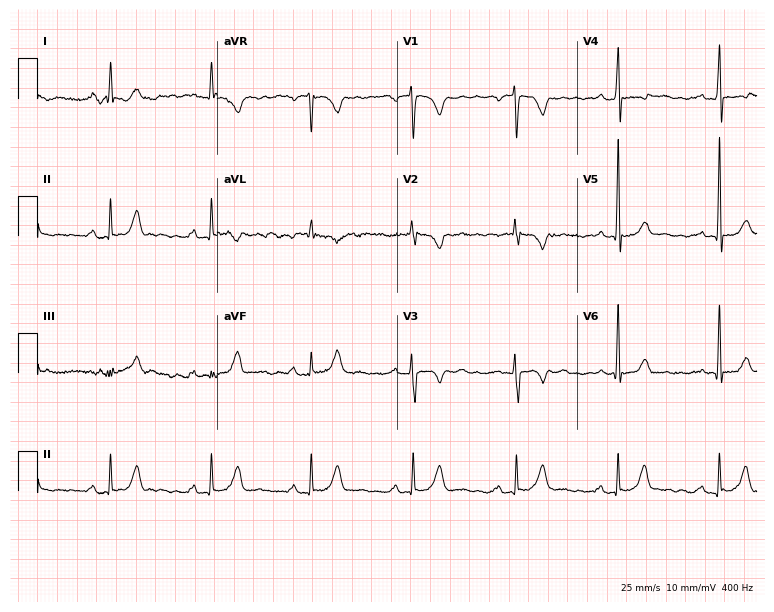
Standard 12-lead ECG recorded from a male, 58 years old (7.3-second recording at 400 Hz). The tracing shows first-degree AV block.